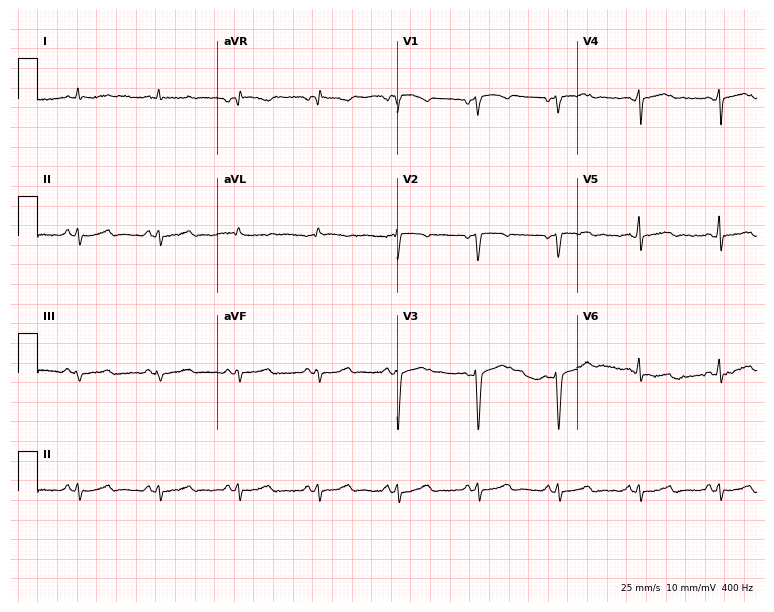
Resting 12-lead electrocardiogram (7.3-second recording at 400 Hz). Patient: a male, 49 years old. None of these six findings is recorded: first-degree AV block, right bundle branch block, left bundle branch block, sinus bradycardia, atrial fibrillation, sinus tachycardia. Other findings, if any, are not listed.